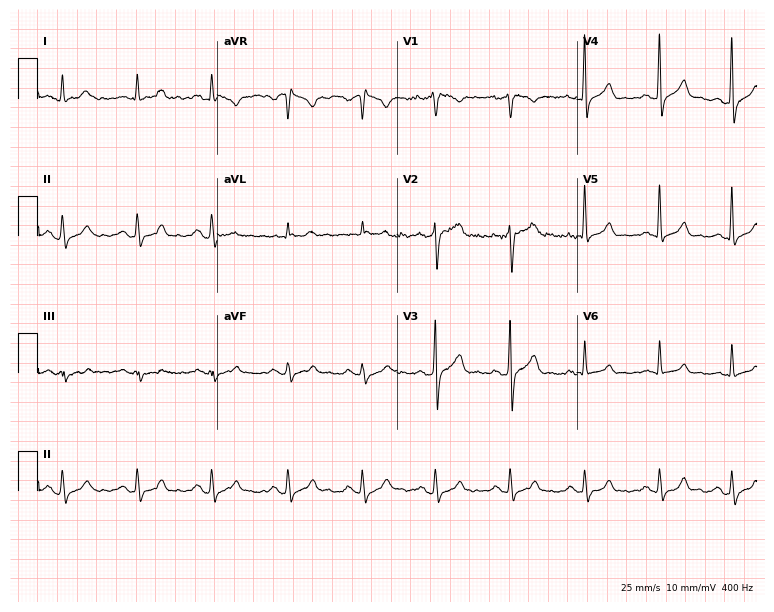
Standard 12-lead ECG recorded from a male, 62 years old (7.3-second recording at 400 Hz). Read as a normal ECG.